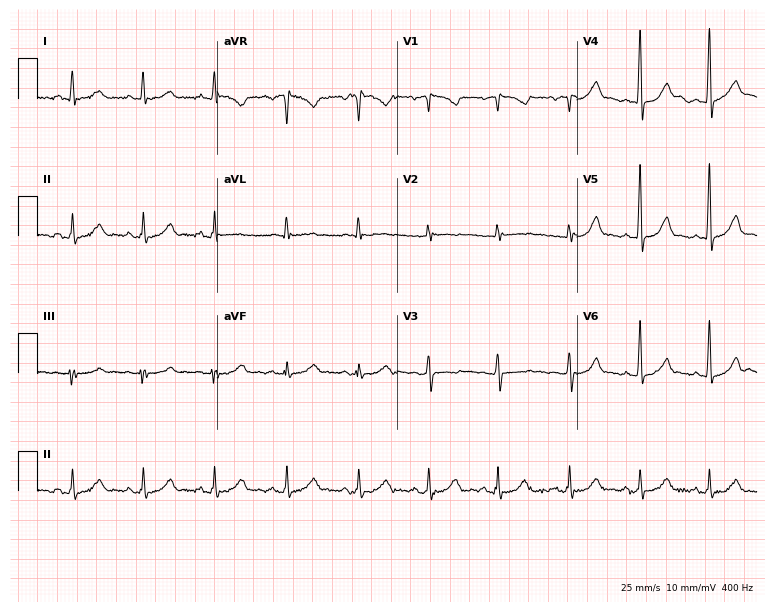
Resting 12-lead electrocardiogram (7.3-second recording at 400 Hz). Patient: a woman, 55 years old. None of these six findings is recorded: first-degree AV block, right bundle branch block (RBBB), left bundle branch block (LBBB), sinus bradycardia, atrial fibrillation (AF), sinus tachycardia.